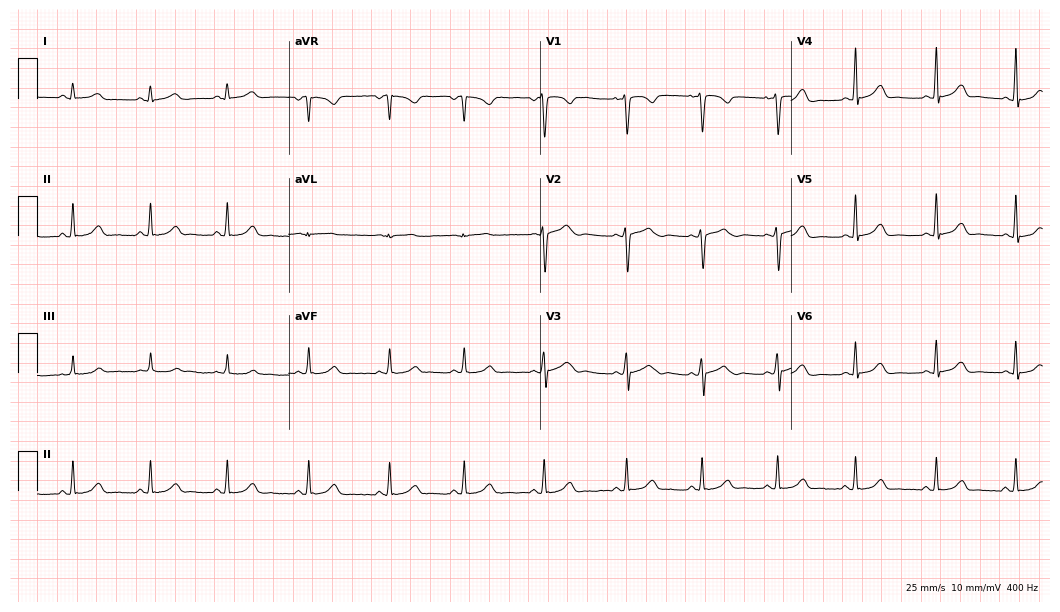
12-lead ECG from a 19-year-old female. Labelled as a normal ECG.